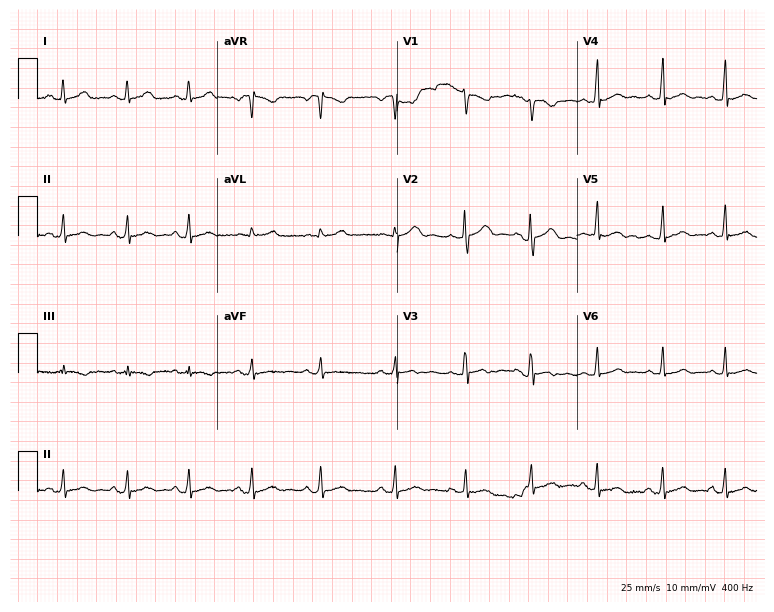
Resting 12-lead electrocardiogram (7.3-second recording at 400 Hz). Patient: a female, 18 years old. Read as a normal ECG.